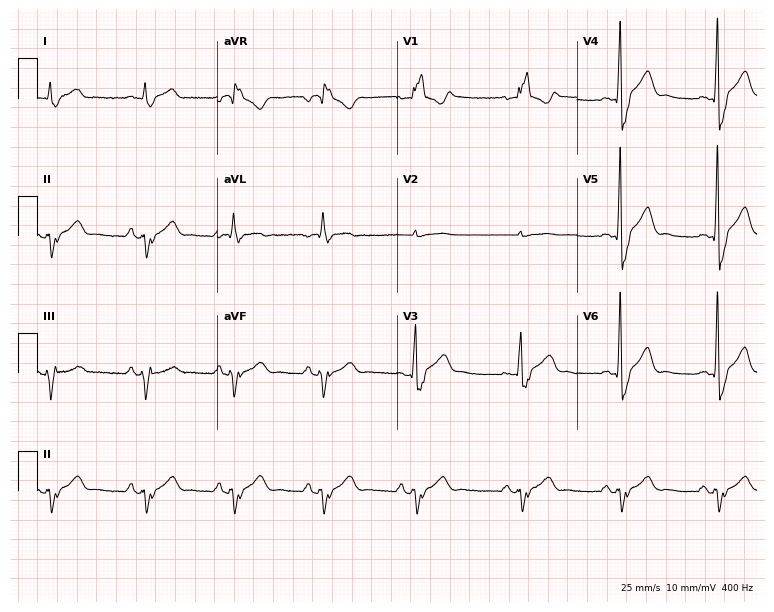
12-lead ECG from a male patient, 71 years old. Findings include right bundle branch block.